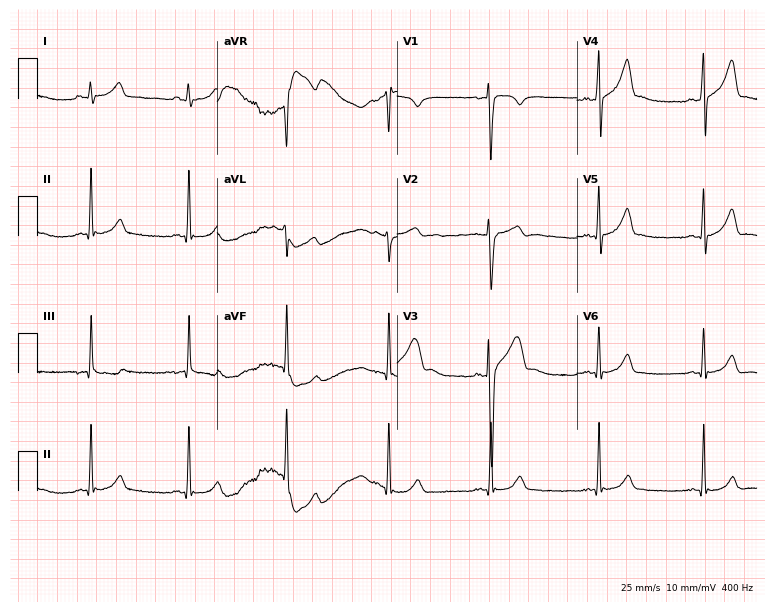
ECG — a 22-year-old male patient. Labelled as a normal ECG.